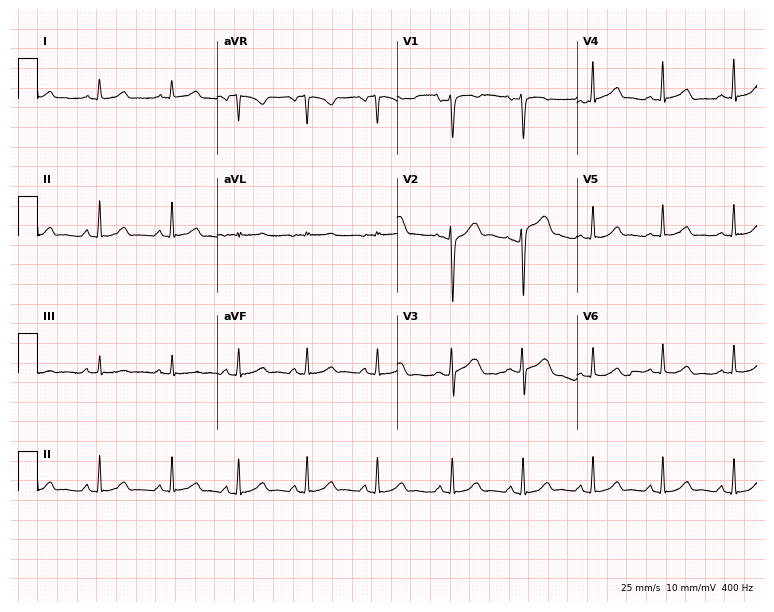
Standard 12-lead ECG recorded from a female patient, 35 years old. Read as a normal ECG.